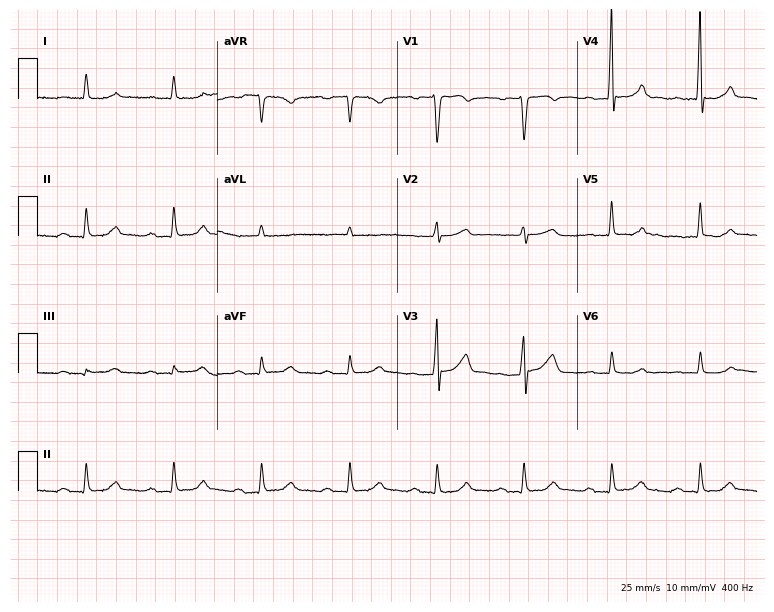
12-lead ECG from a male patient, 74 years old (7.3-second recording at 400 Hz). Shows first-degree AV block.